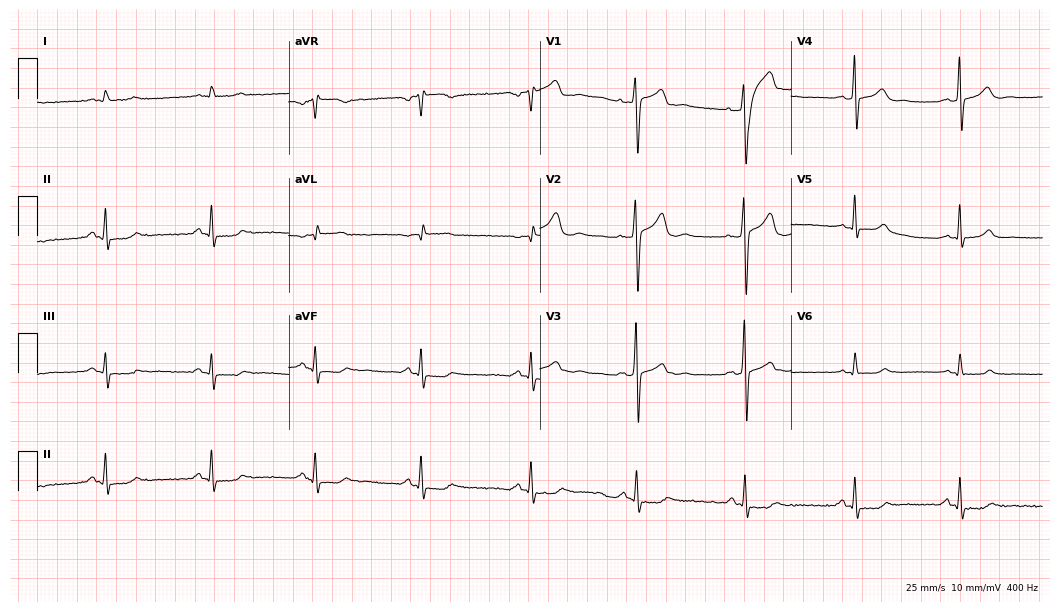
12-lead ECG (10.2-second recording at 400 Hz) from a male, 36 years old. Screened for six findings — first-degree AV block, right bundle branch block, left bundle branch block, sinus bradycardia, atrial fibrillation, sinus tachycardia — none is recorded.